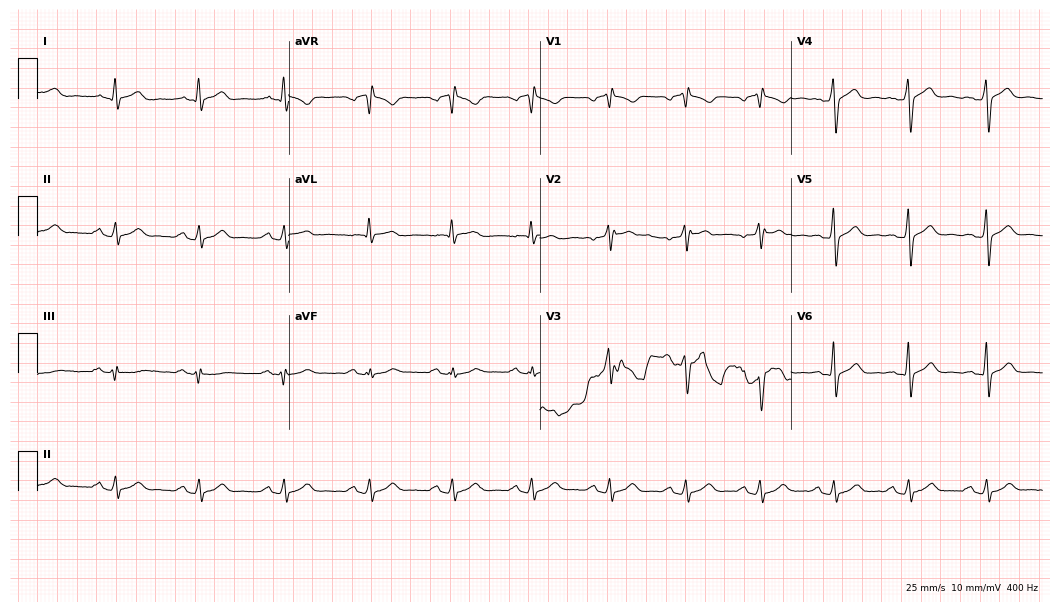
Standard 12-lead ECG recorded from a 44-year-old man (10.2-second recording at 400 Hz). Read as a normal ECG.